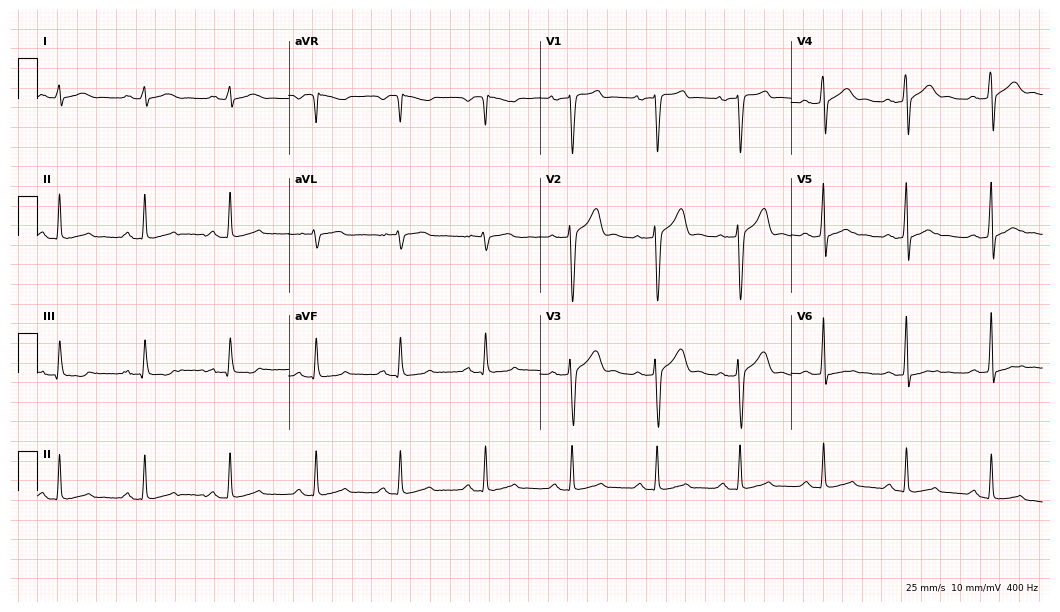
12-lead ECG from a 35-year-old male. Labelled as a normal ECG.